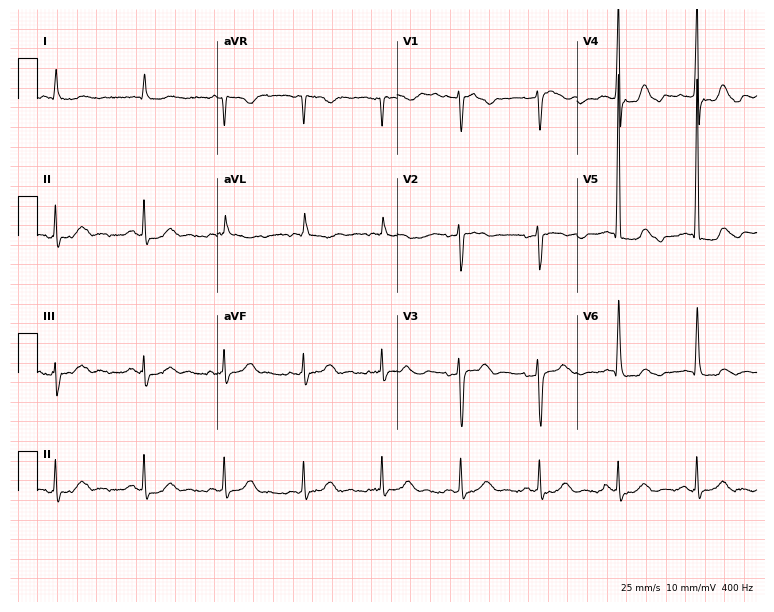
Electrocardiogram, a male patient, 75 years old. Of the six screened findings (first-degree AV block, right bundle branch block, left bundle branch block, sinus bradycardia, atrial fibrillation, sinus tachycardia), none is recorded. Only these six findings were labelled.